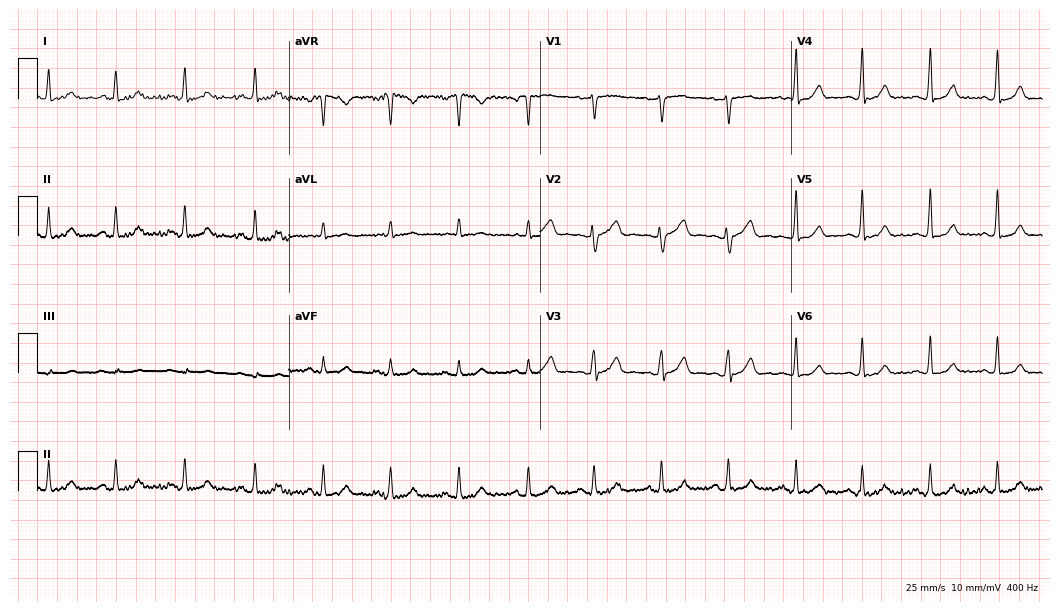
ECG — a 30-year-old female. Labelled as a normal ECG.